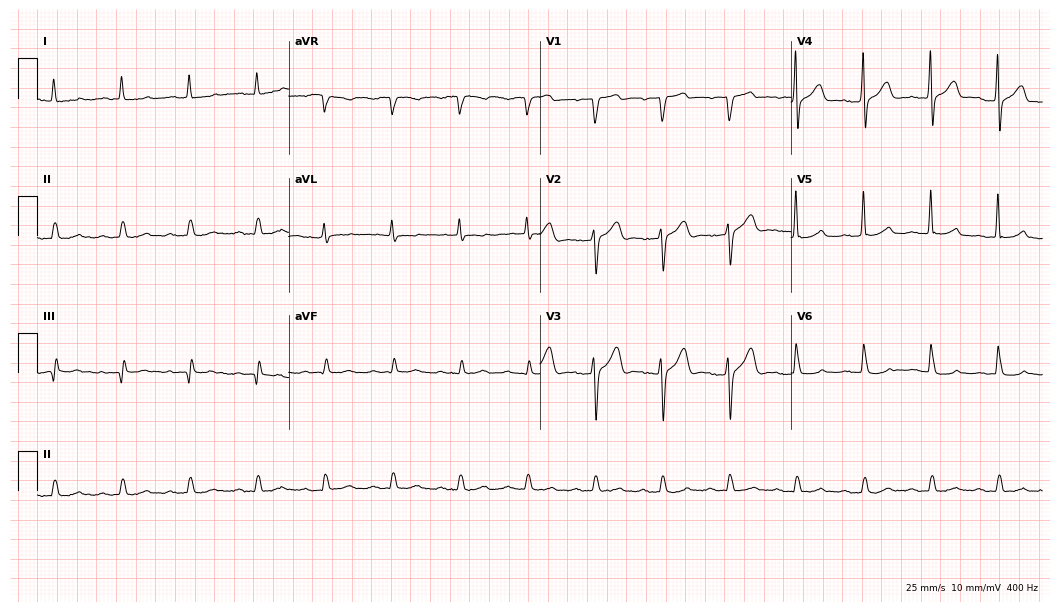
Electrocardiogram (10.2-second recording at 400 Hz), an 85-year-old male. Overall reading on record: normal ECG.